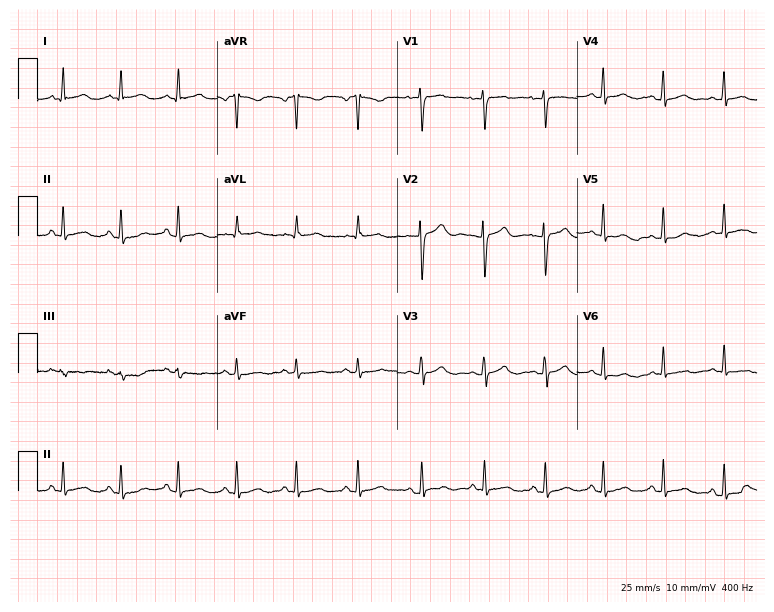
12-lead ECG from a 26-year-old female patient (7.3-second recording at 400 Hz). No first-degree AV block, right bundle branch block, left bundle branch block, sinus bradycardia, atrial fibrillation or sinus tachycardia recorded for this tracing.